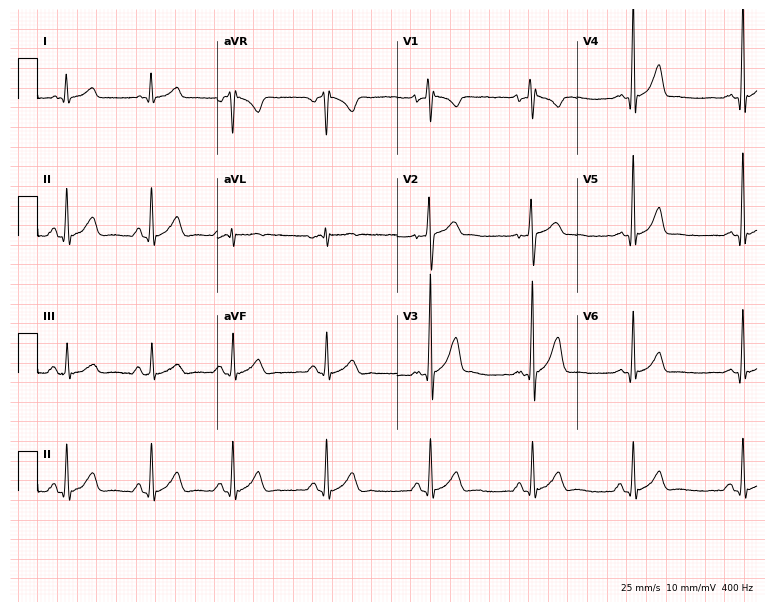
ECG (7.3-second recording at 400 Hz) — a 39-year-old man. Screened for six findings — first-degree AV block, right bundle branch block, left bundle branch block, sinus bradycardia, atrial fibrillation, sinus tachycardia — none is recorded.